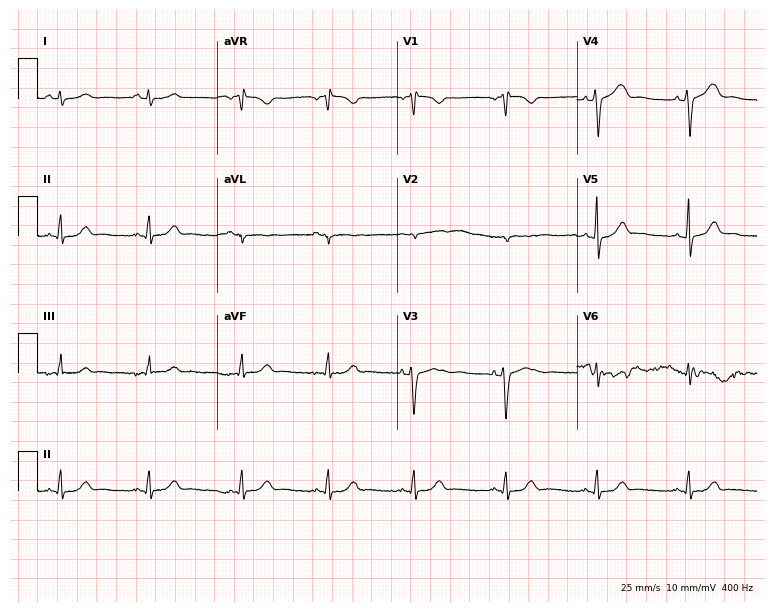
Standard 12-lead ECG recorded from a female patient, 31 years old. None of these six findings is recorded: first-degree AV block, right bundle branch block (RBBB), left bundle branch block (LBBB), sinus bradycardia, atrial fibrillation (AF), sinus tachycardia. Findings outside these six are not listed.